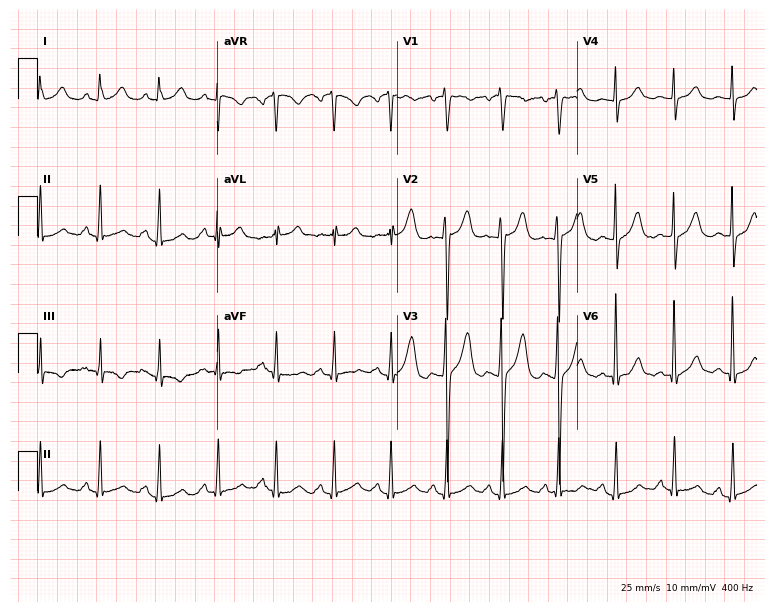
ECG — a 40-year-old man. Findings include sinus tachycardia (a sinus rate of 100 beats per minute or more).